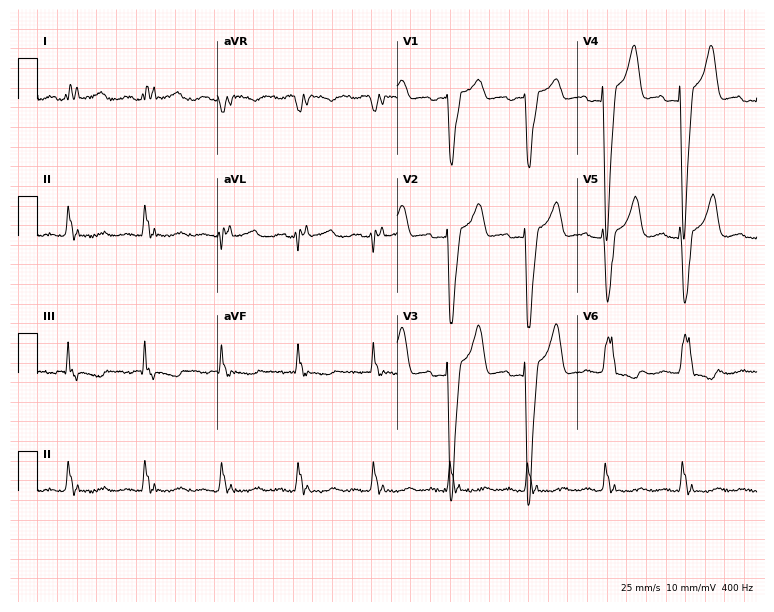
Resting 12-lead electrocardiogram (7.3-second recording at 400 Hz). Patient: a woman, 73 years old. The tracing shows left bundle branch block.